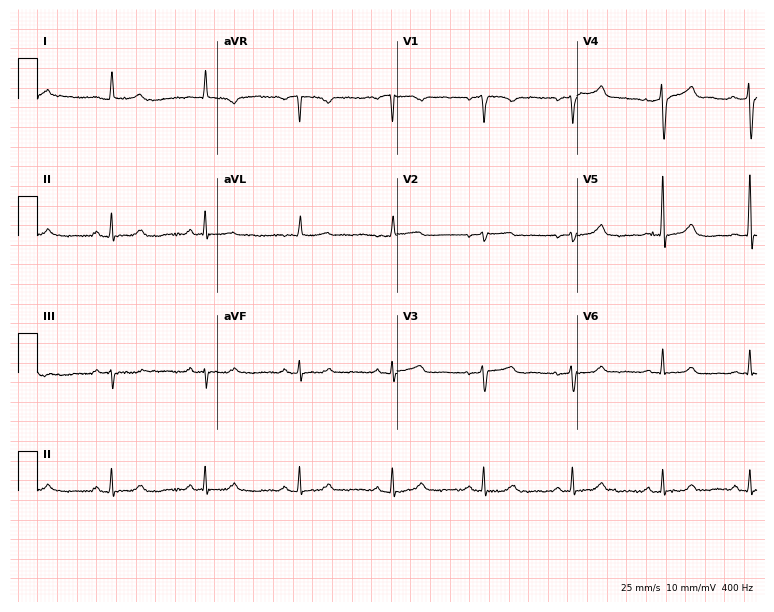
12-lead ECG from a 58-year-old female (7.3-second recording at 400 Hz). No first-degree AV block, right bundle branch block (RBBB), left bundle branch block (LBBB), sinus bradycardia, atrial fibrillation (AF) or sinus tachycardia recorded for this tracing.